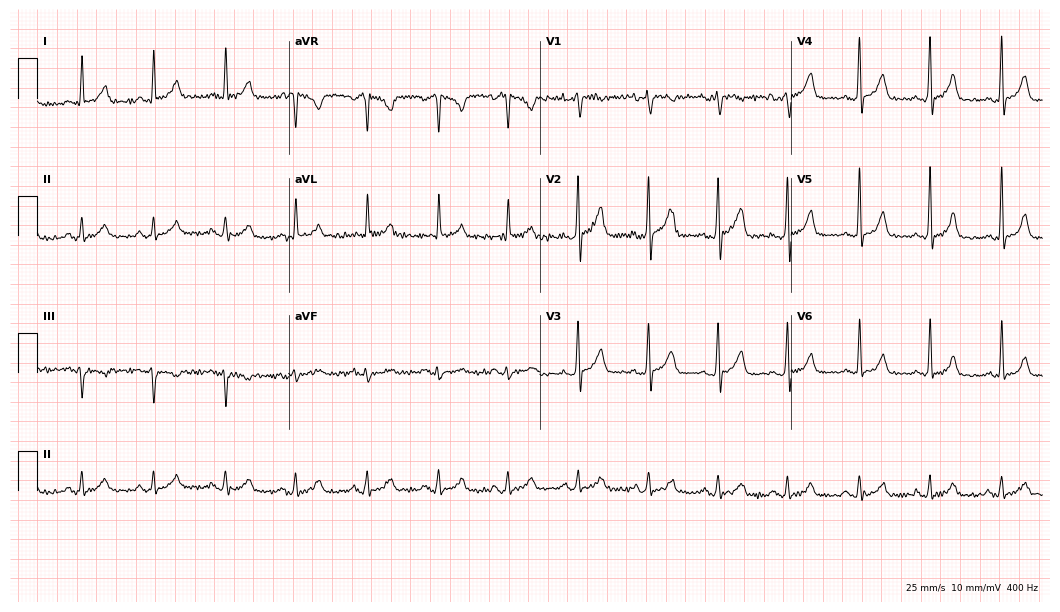
Electrocardiogram, a 65-year-old male. Overall reading on record: normal ECG.